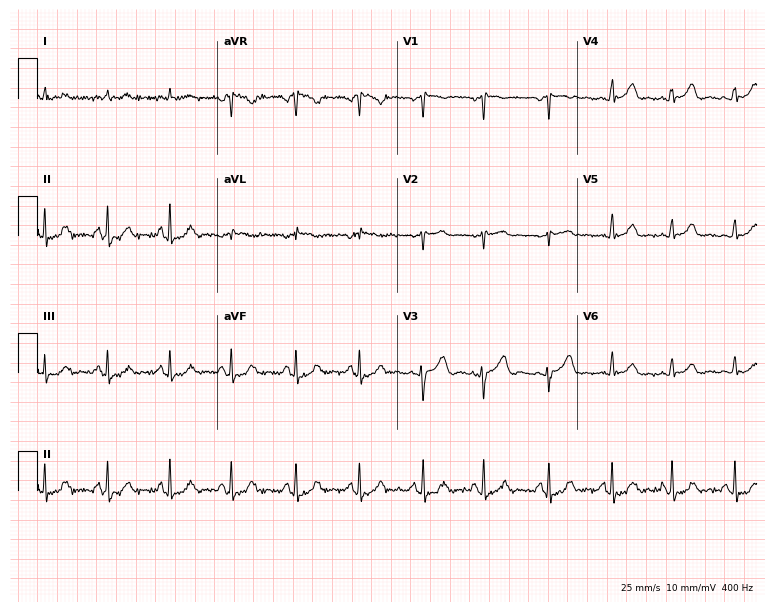
12-lead ECG (7.3-second recording at 400 Hz) from a 69-year-old man. Labelled as a normal ECG.